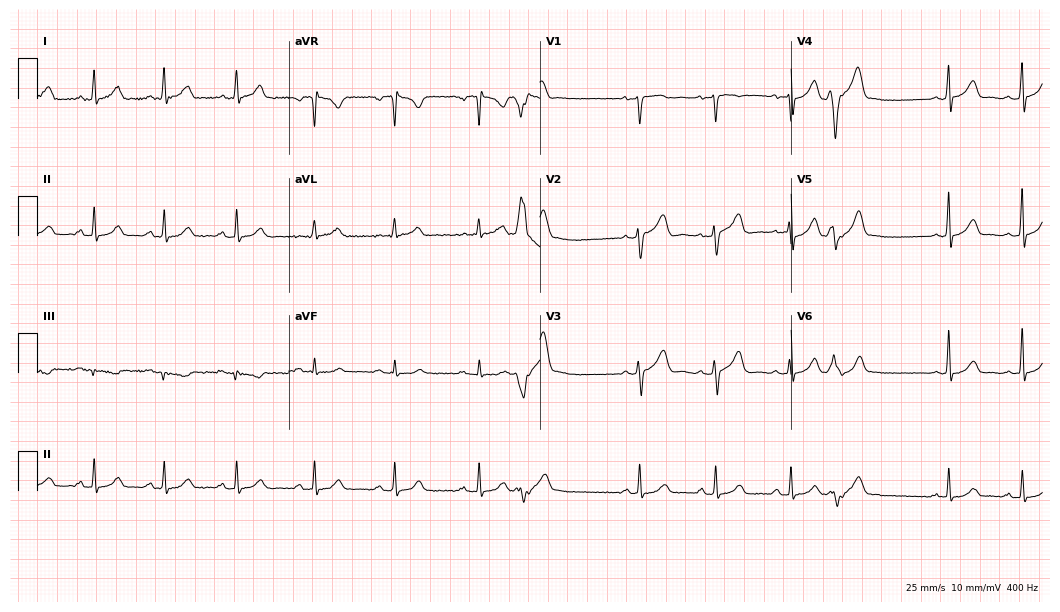
12-lead ECG from a female patient, 45 years old. Screened for six findings — first-degree AV block, right bundle branch block, left bundle branch block, sinus bradycardia, atrial fibrillation, sinus tachycardia — none is recorded. Only these six findings were labelled.